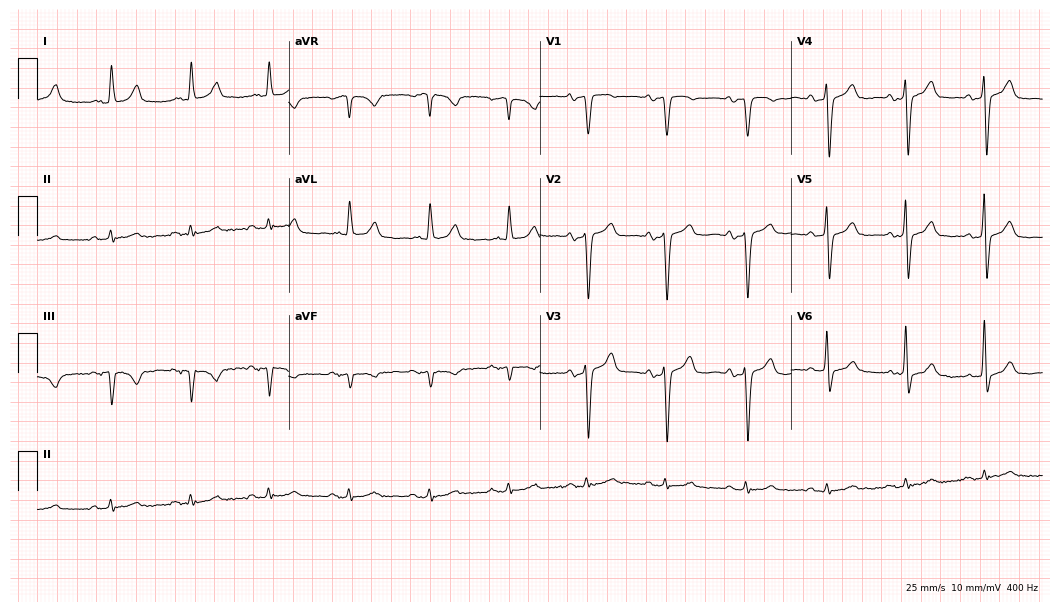
ECG — an 85-year-old male. Screened for six findings — first-degree AV block, right bundle branch block, left bundle branch block, sinus bradycardia, atrial fibrillation, sinus tachycardia — none is recorded. Findings outside these six are not listed.